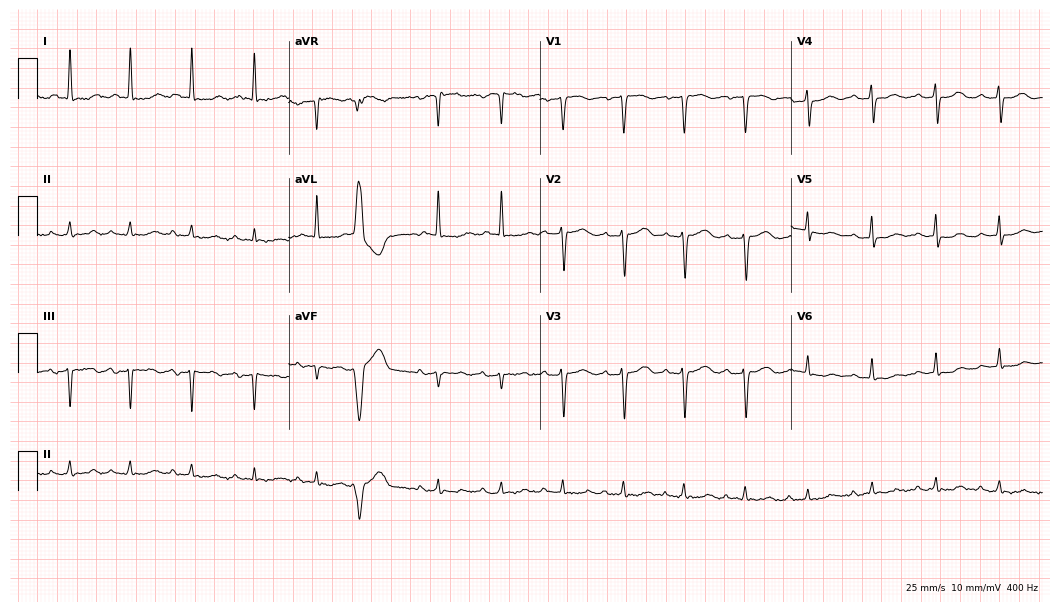
Resting 12-lead electrocardiogram. Patient: a 67-year-old female. Read as a normal ECG.